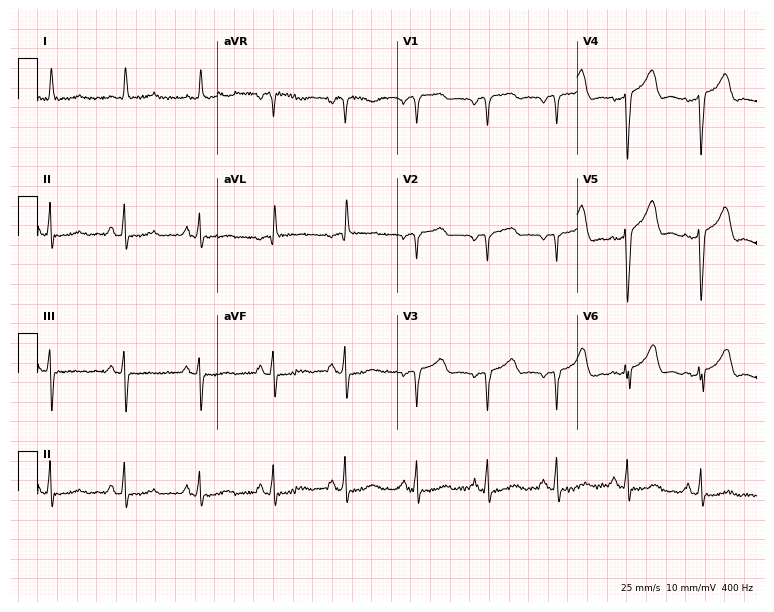
ECG — a man, 67 years old. Screened for six findings — first-degree AV block, right bundle branch block, left bundle branch block, sinus bradycardia, atrial fibrillation, sinus tachycardia — none is recorded. Other findings, if any, are not listed.